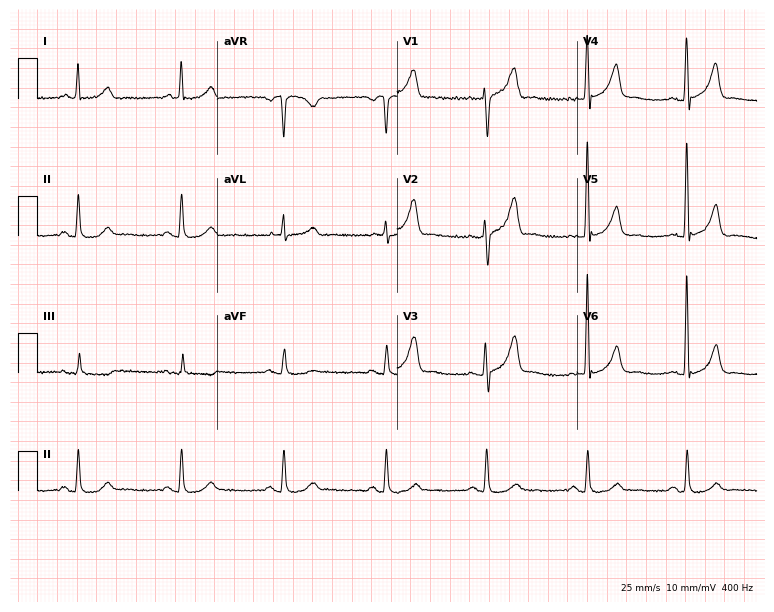
Standard 12-lead ECG recorded from a male patient, 60 years old (7.3-second recording at 400 Hz). None of these six findings is recorded: first-degree AV block, right bundle branch block (RBBB), left bundle branch block (LBBB), sinus bradycardia, atrial fibrillation (AF), sinus tachycardia. Other findings, if any, are not listed.